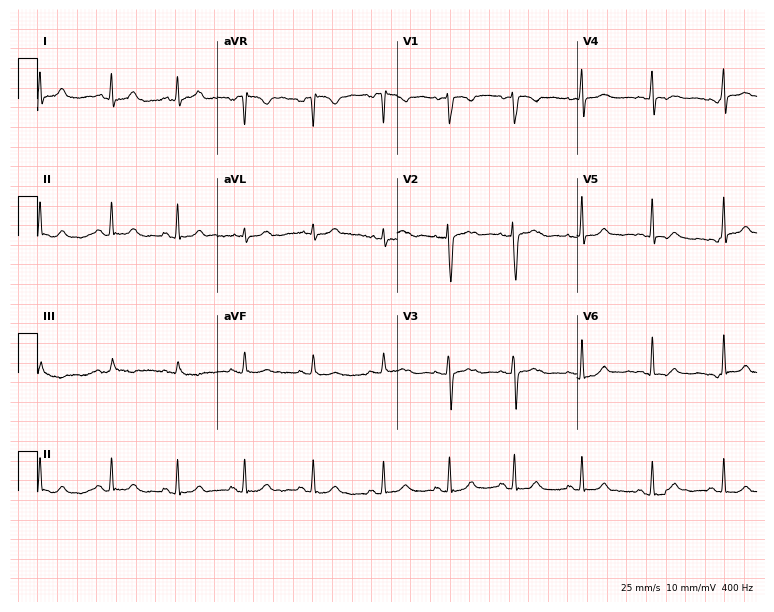
Resting 12-lead electrocardiogram. Patient: a 24-year-old female. Read as a normal ECG.